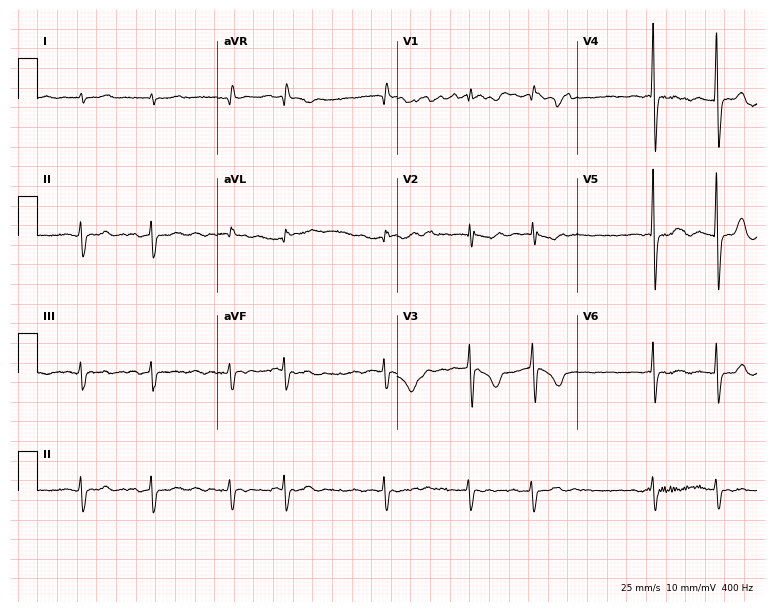
Standard 12-lead ECG recorded from a female patient, 78 years old. The tracing shows atrial fibrillation (AF).